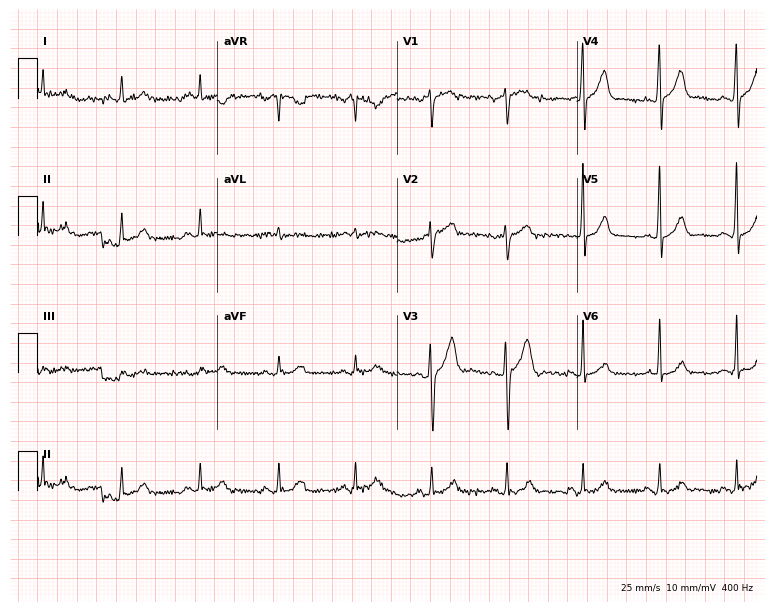
12-lead ECG from a 60-year-old man. Labelled as a normal ECG.